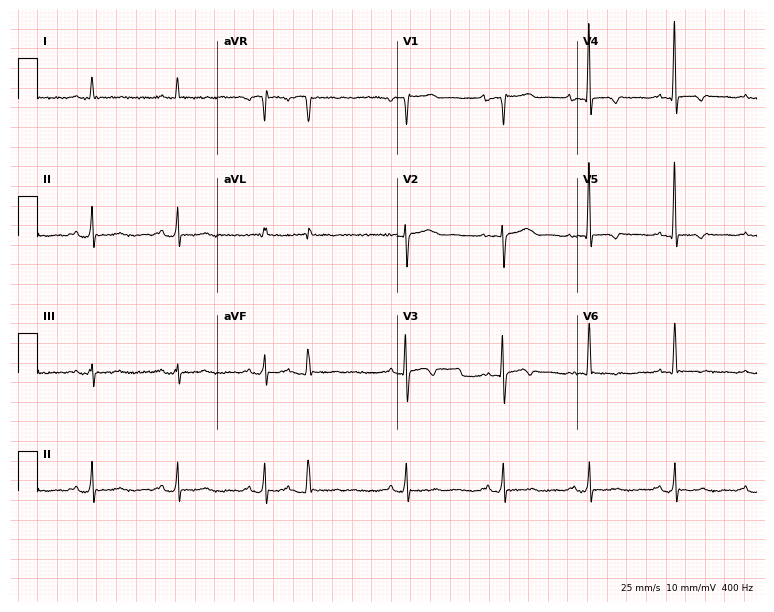
12-lead ECG from a male, 73 years old. Screened for six findings — first-degree AV block, right bundle branch block (RBBB), left bundle branch block (LBBB), sinus bradycardia, atrial fibrillation (AF), sinus tachycardia — none is recorded. Other findings, if any, are not listed.